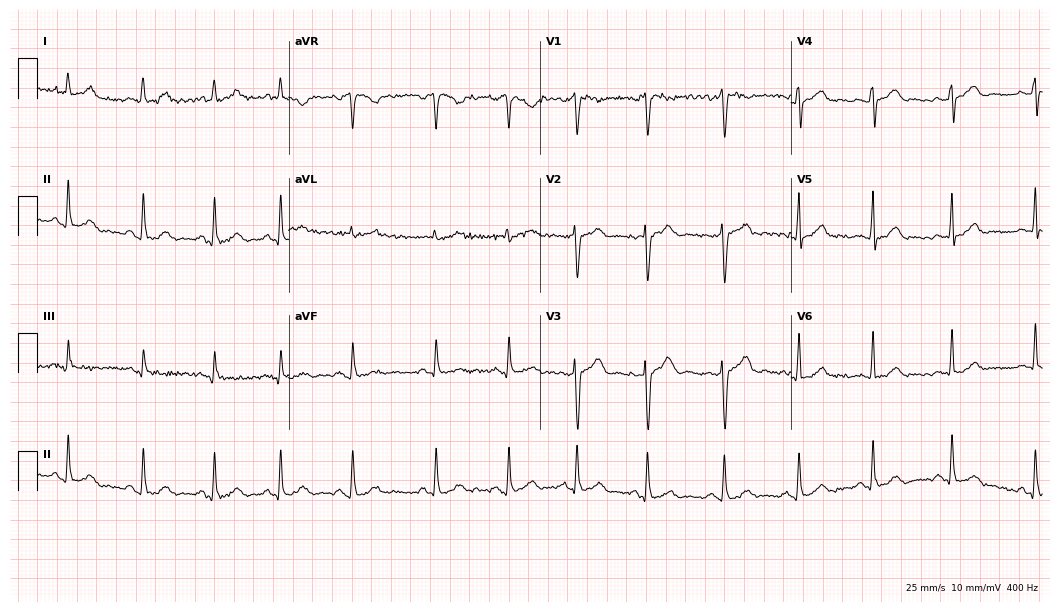
Resting 12-lead electrocardiogram. Patient: a female, 19 years old. Read as a normal ECG.